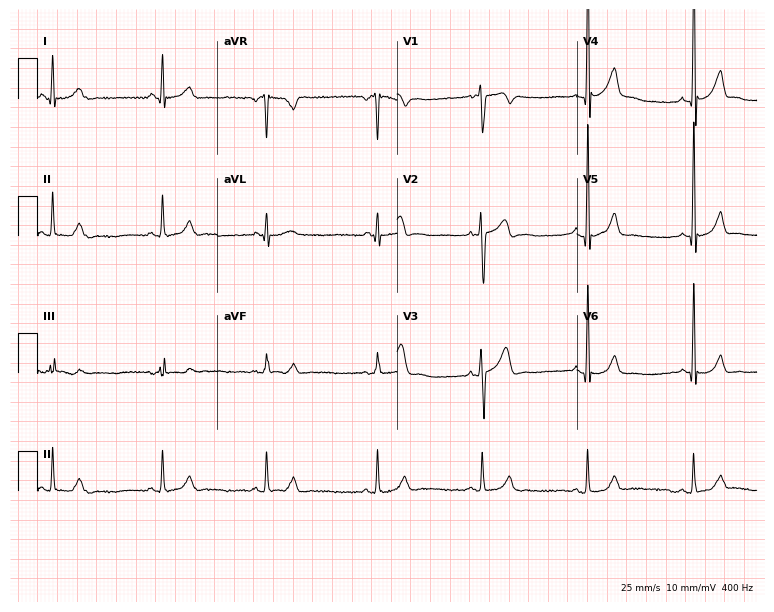
Electrocardiogram, a man, 41 years old. Overall reading on record: normal ECG.